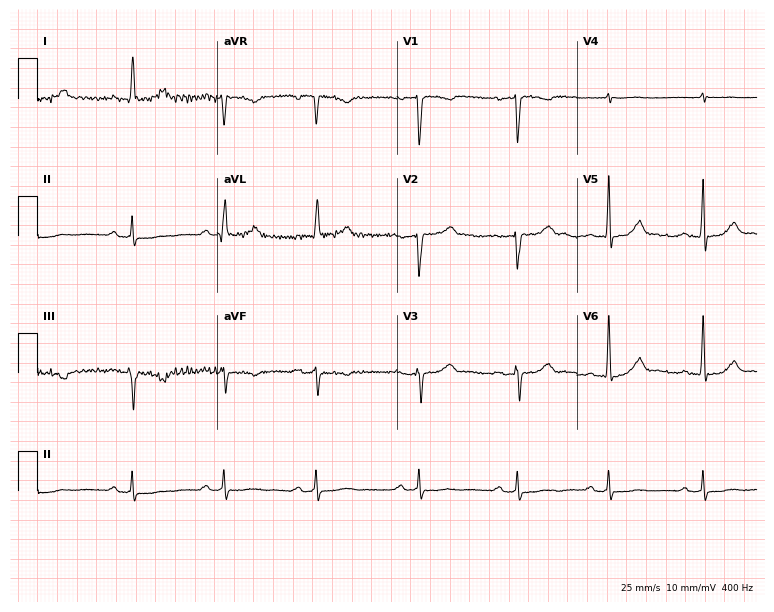
ECG (7.3-second recording at 400 Hz) — a female patient, 40 years old. Screened for six findings — first-degree AV block, right bundle branch block, left bundle branch block, sinus bradycardia, atrial fibrillation, sinus tachycardia — none is recorded.